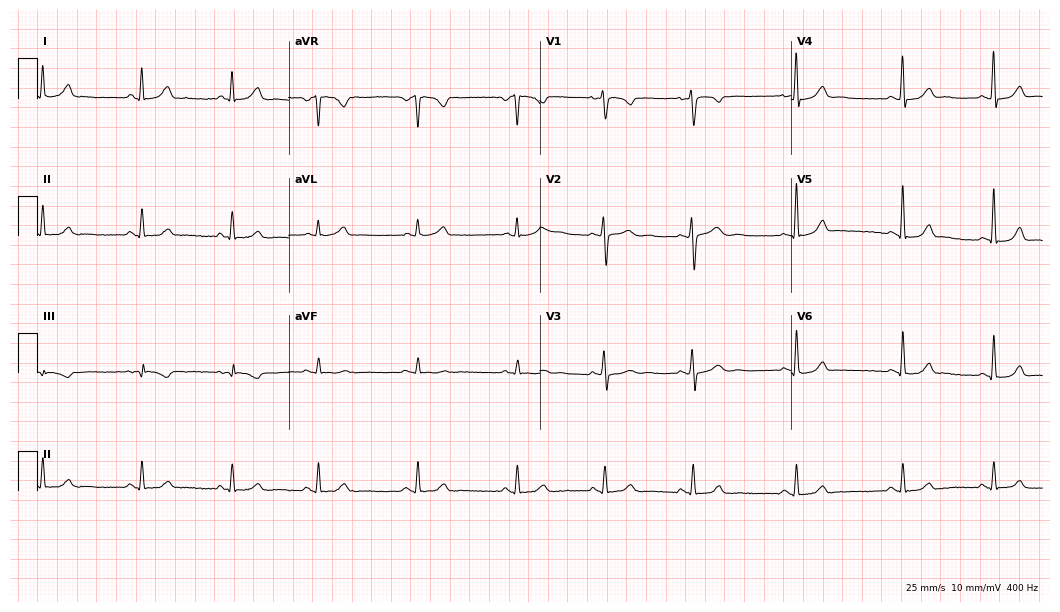
Electrocardiogram, a woman, 46 years old. Overall reading on record: normal ECG.